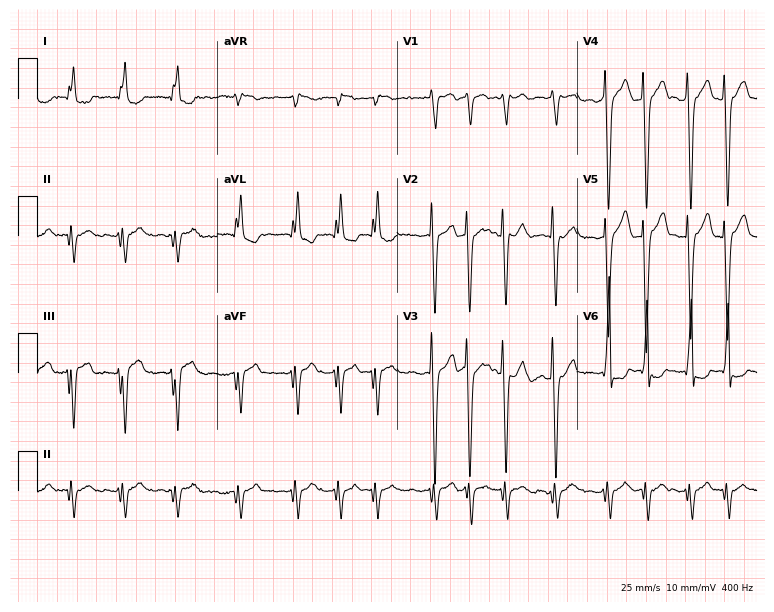
Standard 12-lead ECG recorded from a female patient, 74 years old (7.3-second recording at 400 Hz). The tracing shows atrial fibrillation.